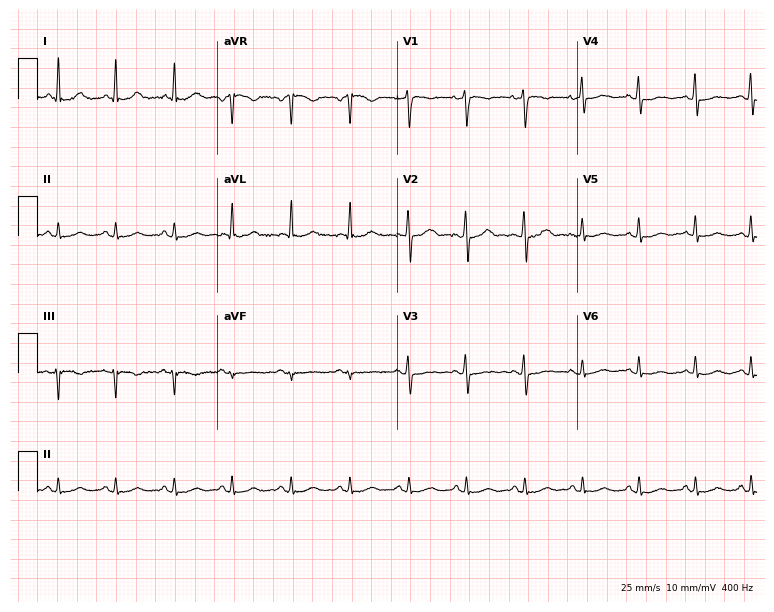
12-lead ECG from a 42-year-old female. Shows sinus tachycardia (a sinus rate of 100 beats per minute or more).